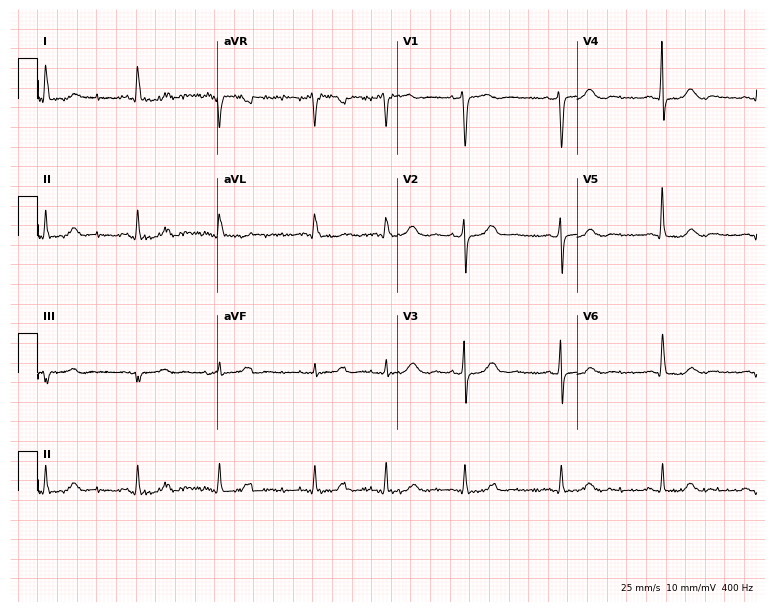
12-lead ECG from a female, 67 years old (7.3-second recording at 400 Hz). No first-degree AV block, right bundle branch block, left bundle branch block, sinus bradycardia, atrial fibrillation or sinus tachycardia recorded for this tracing.